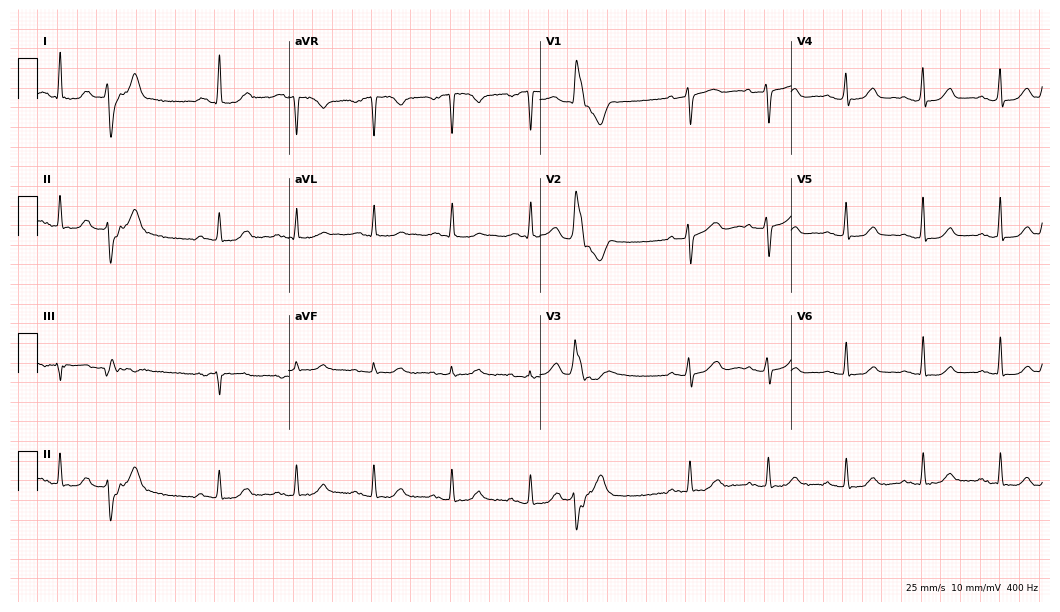
Standard 12-lead ECG recorded from a woman, 68 years old. None of these six findings is recorded: first-degree AV block, right bundle branch block, left bundle branch block, sinus bradycardia, atrial fibrillation, sinus tachycardia. Other findings, if any, are not listed.